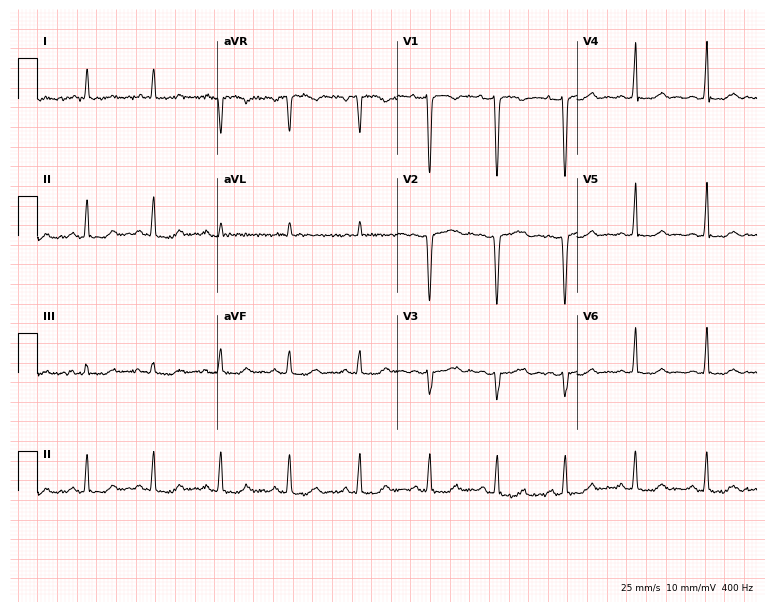
12-lead ECG from a 47-year-old female. No first-degree AV block, right bundle branch block, left bundle branch block, sinus bradycardia, atrial fibrillation or sinus tachycardia recorded for this tracing. Only these six findings were labelled.